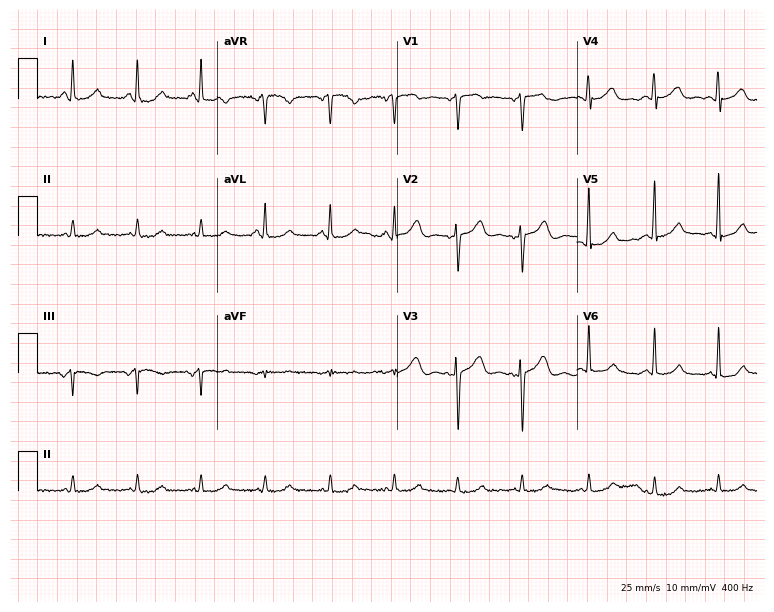
12-lead ECG from a 58-year-old woman. Recorded interpretation: within normal limits.